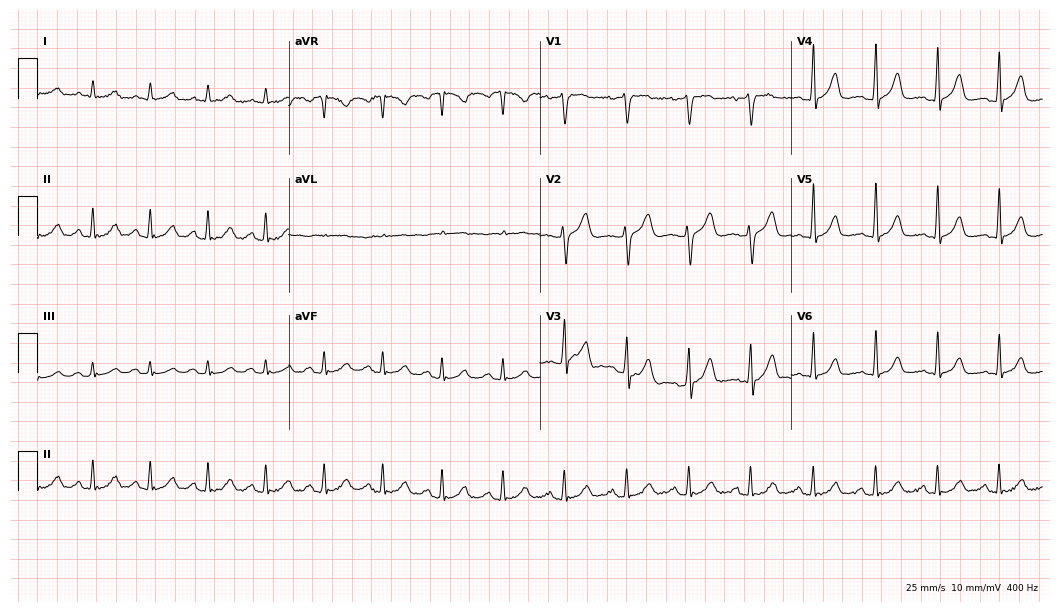
Resting 12-lead electrocardiogram (10.2-second recording at 400 Hz). Patient: a male, 43 years old. Read as a normal ECG.